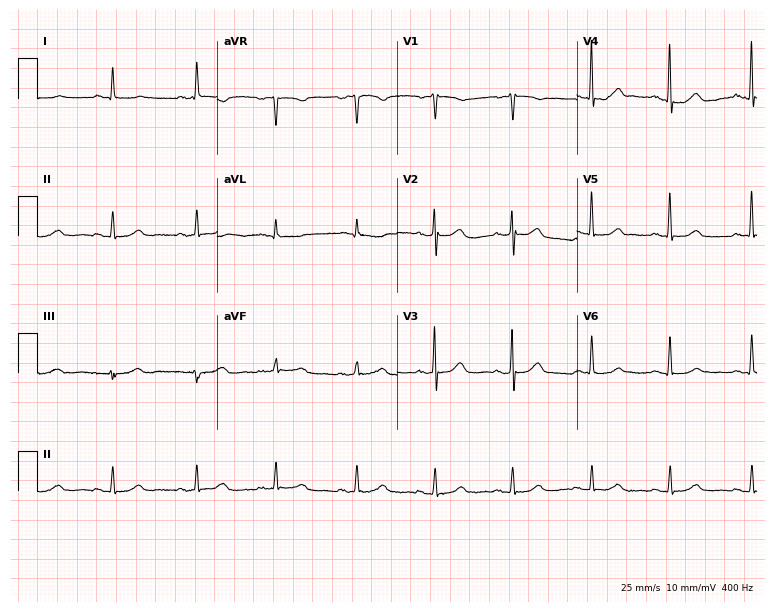
Resting 12-lead electrocardiogram (7.3-second recording at 400 Hz). Patient: a female, 67 years old. Read as a normal ECG.